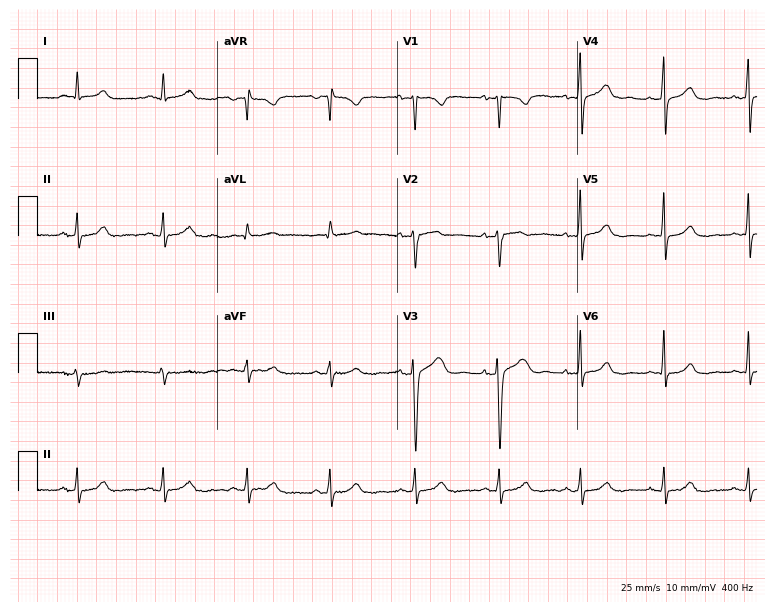
Electrocardiogram (7.3-second recording at 400 Hz), a 35-year-old woman. Overall reading on record: normal ECG.